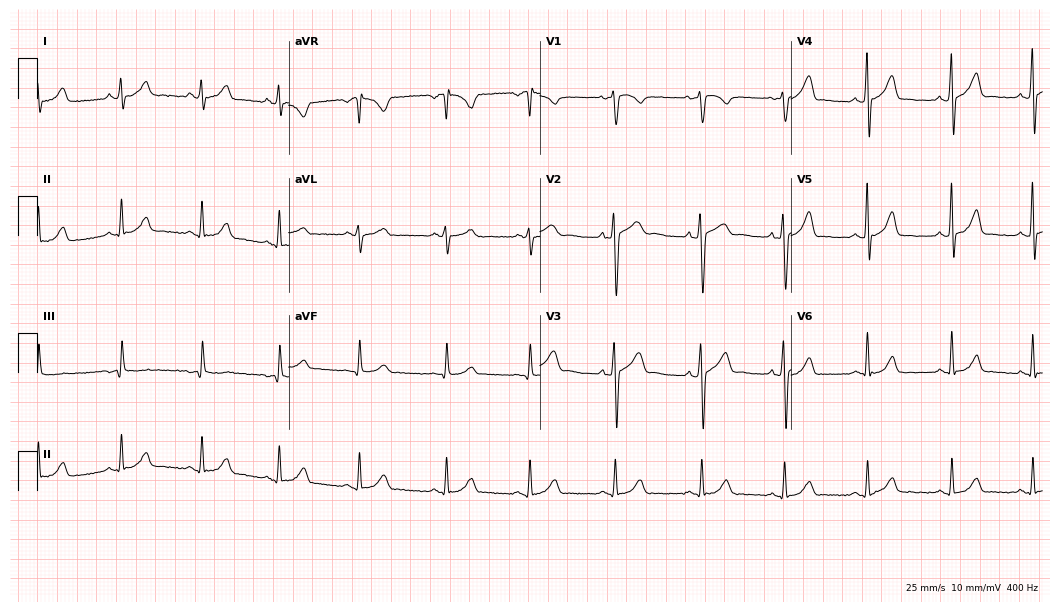
12-lead ECG (10.2-second recording at 400 Hz) from a man, 26 years old. Labelled as a normal ECG.